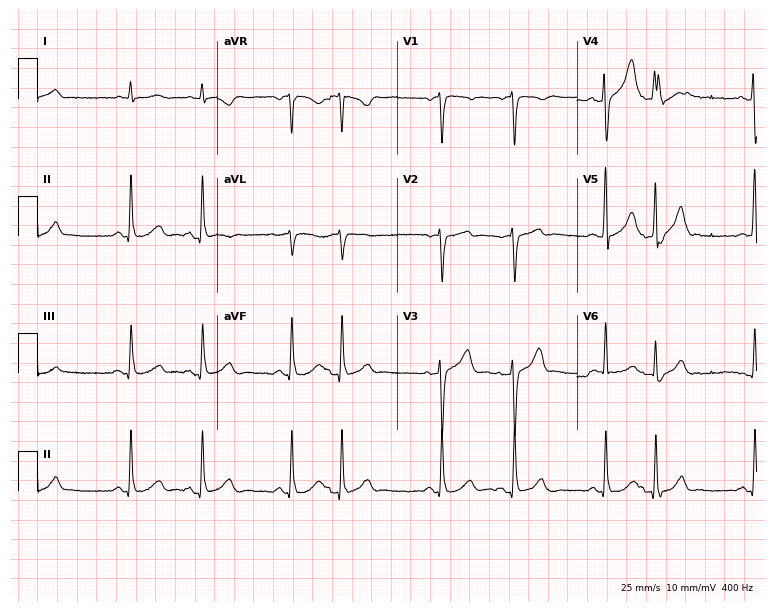
Standard 12-lead ECG recorded from a male, 72 years old (7.3-second recording at 400 Hz). None of these six findings is recorded: first-degree AV block, right bundle branch block, left bundle branch block, sinus bradycardia, atrial fibrillation, sinus tachycardia. Other findings, if any, are not listed.